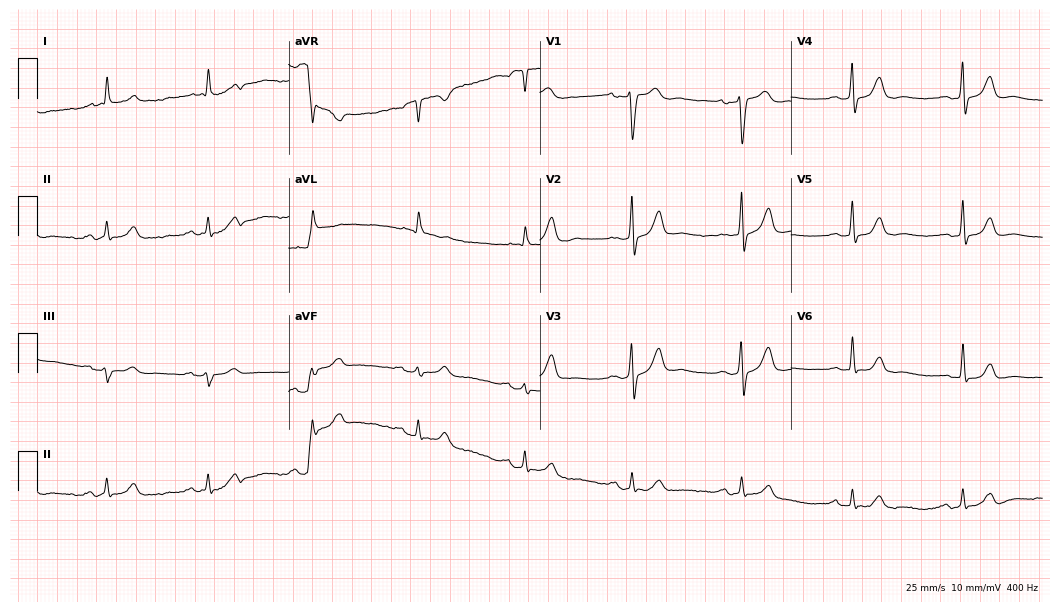
Standard 12-lead ECG recorded from a male, 68 years old (10.2-second recording at 400 Hz). Read as a normal ECG.